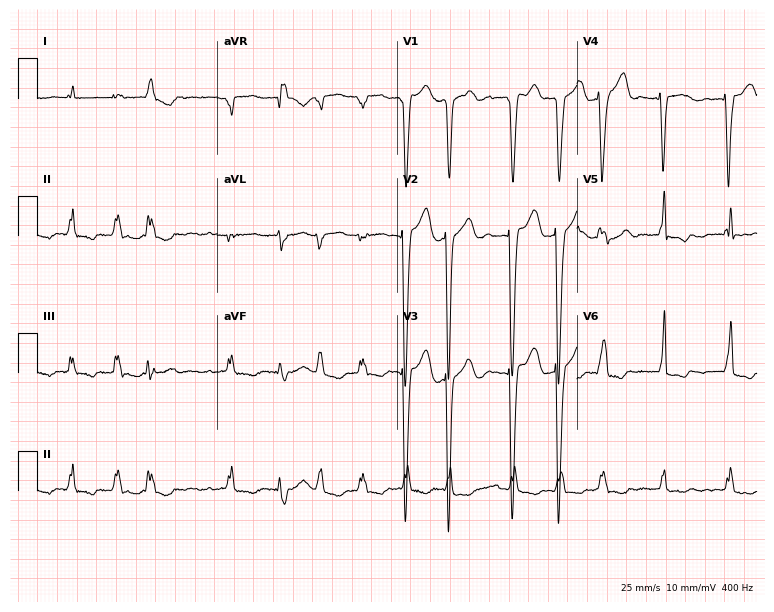
Electrocardiogram (7.3-second recording at 400 Hz), a female, 84 years old. Interpretation includes atrial fibrillation.